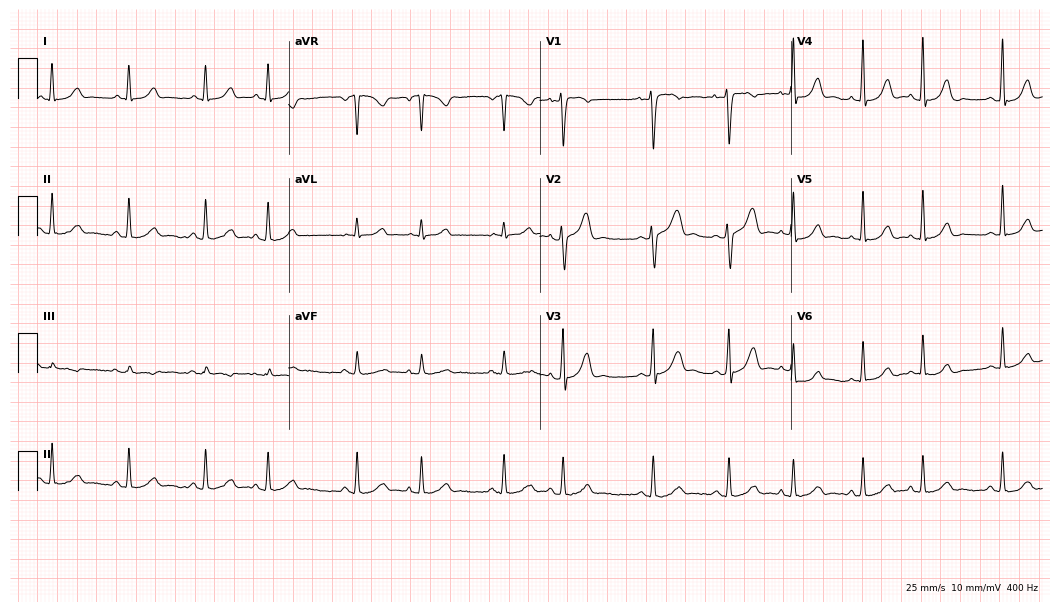
ECG (10.2-second recording at 400 Hz) — a 34-year-old female. Screened for six findings — first-degree AV block, right bundle branch block, left bundle branch block, sinus bradycardia, atrial fibrillation, sinus tachycardia — none is recorded.